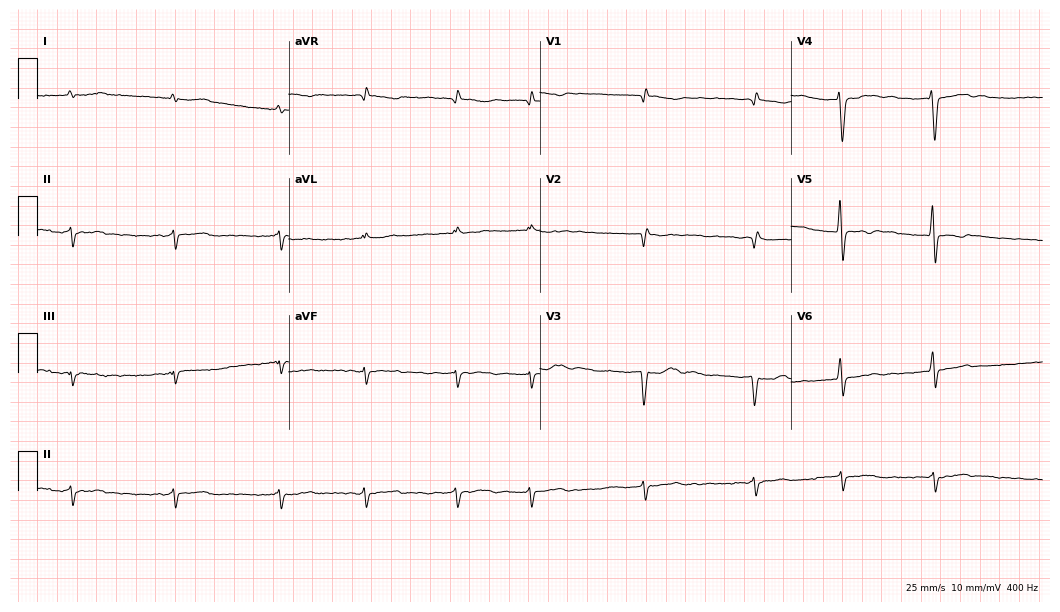
Resting 12-lead electrocardiogram (10.2-second recording at 400 Hz). Patient: a 78-year-old female. None of these six findings is recorded: first-degree AV block, right bundle branch block (RBBB), left bundle branch block (LBBB), sinus bradycardia, atrial fibrillation (AF), sinus tachycardia.